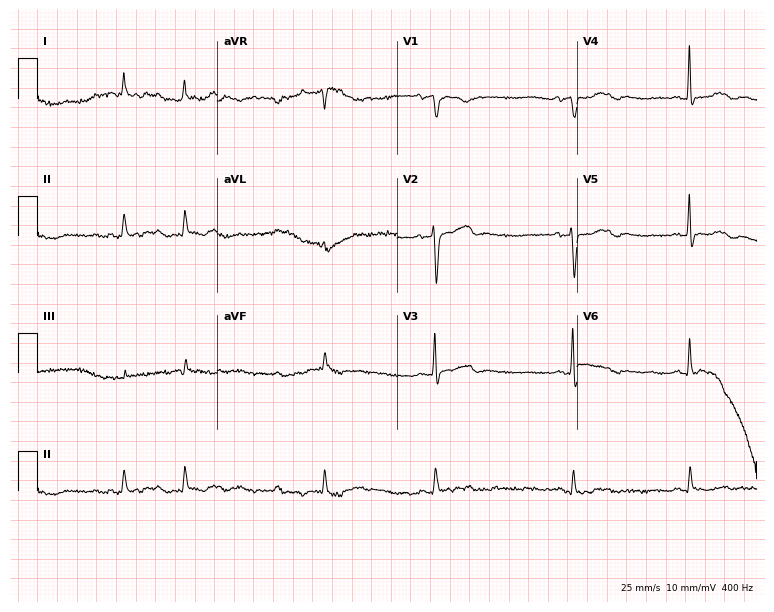
Electrocardiogram (7.3-second recording at 400 Hz), an 83-year-old female. Of the six screened findings (first-degree AV block, right bundle branch block, left bundle branch block, sinus bradycardia, atrial fibrillation, sinus tachycardia), none is recorded.